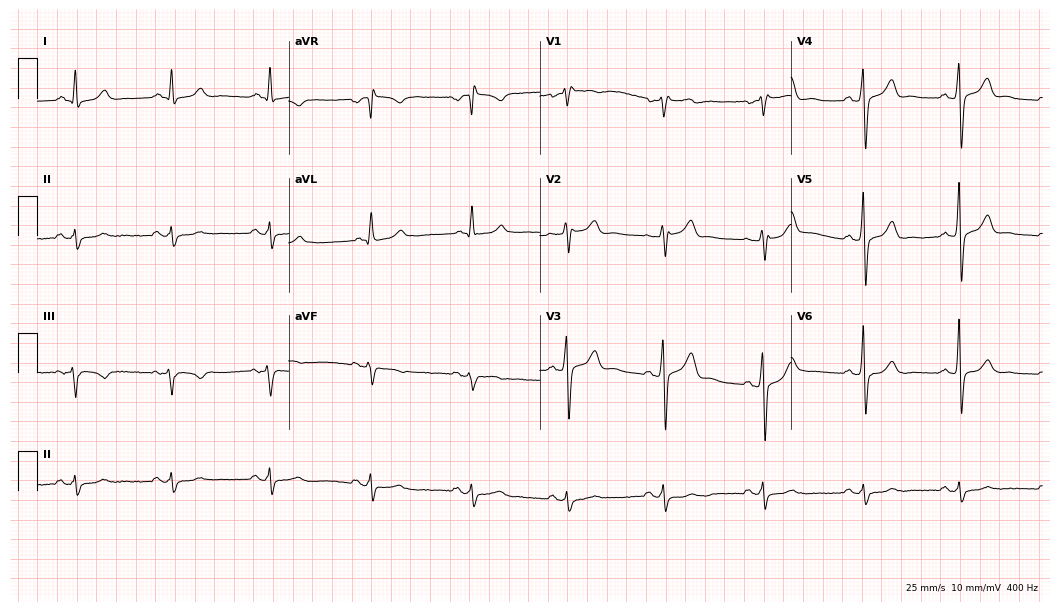
Resting 12-lead electrocardiogram. Patient: a man, 38 years old. None of these six findings is recorded: first-degree AV block, right bundle branch block, left bundle branch block, sinus bradycardia, atrial fibrillation, sinus tachycardia. Findings outside these six are not listed.